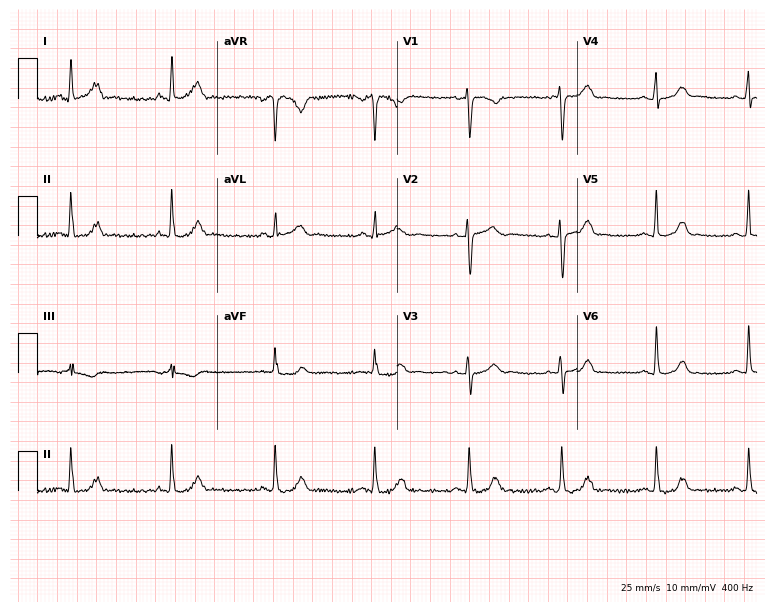
Electrocardiogram, a 34-year-old woman. Overall reading on record: normal ECG.